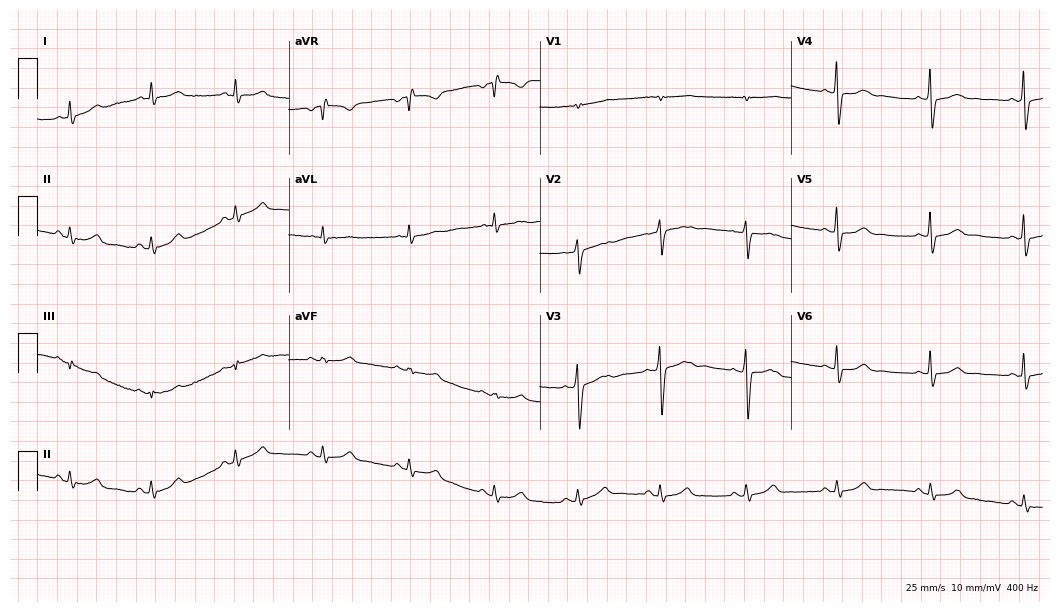
Standard 12-lead ECG recorded from a female patient, 42 years old (10.2-second recording at 400 Hz). Read as a normal ECG.